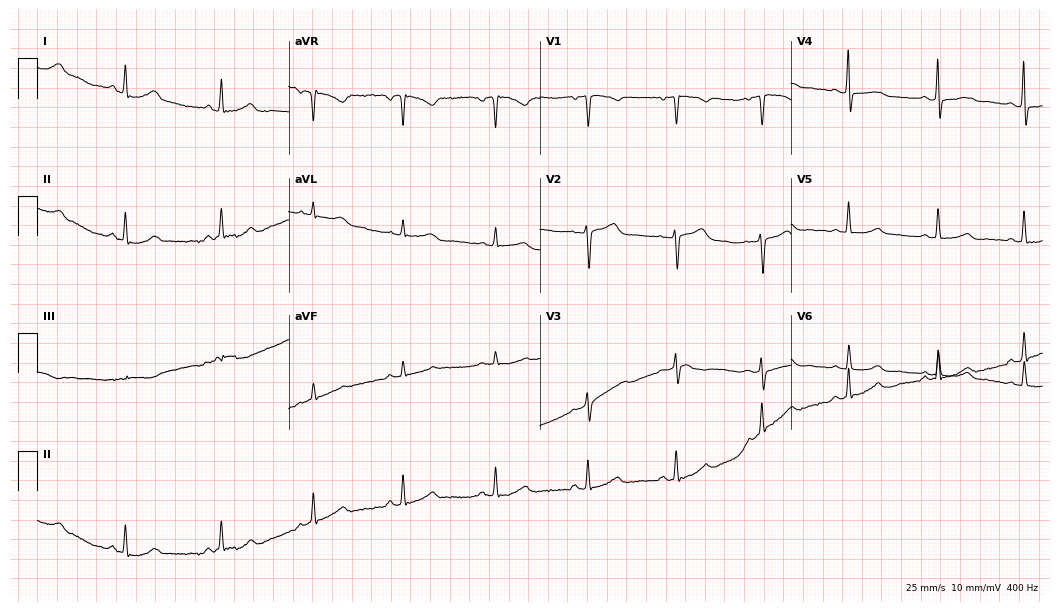
ECG — a 64-year-old female. Labelled as a normal ECG.